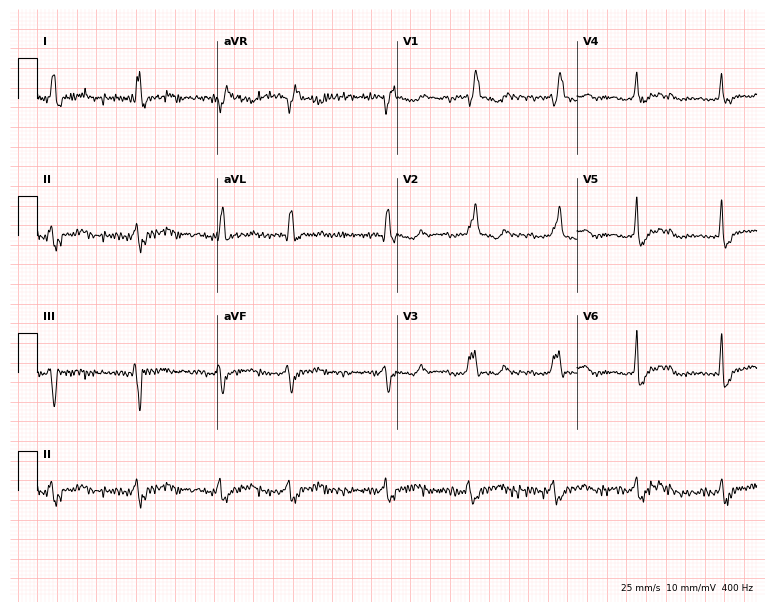
Resting 12-lead electrocardiogram. Patient: a woman, 79 years old. None of these six findings is recorded: first-degree AV block, right bundle branch block, left bundle branch block, sinus bradycardia, atrial fibrillation, sinus tachycardia. Other findings, if any, are not listed.